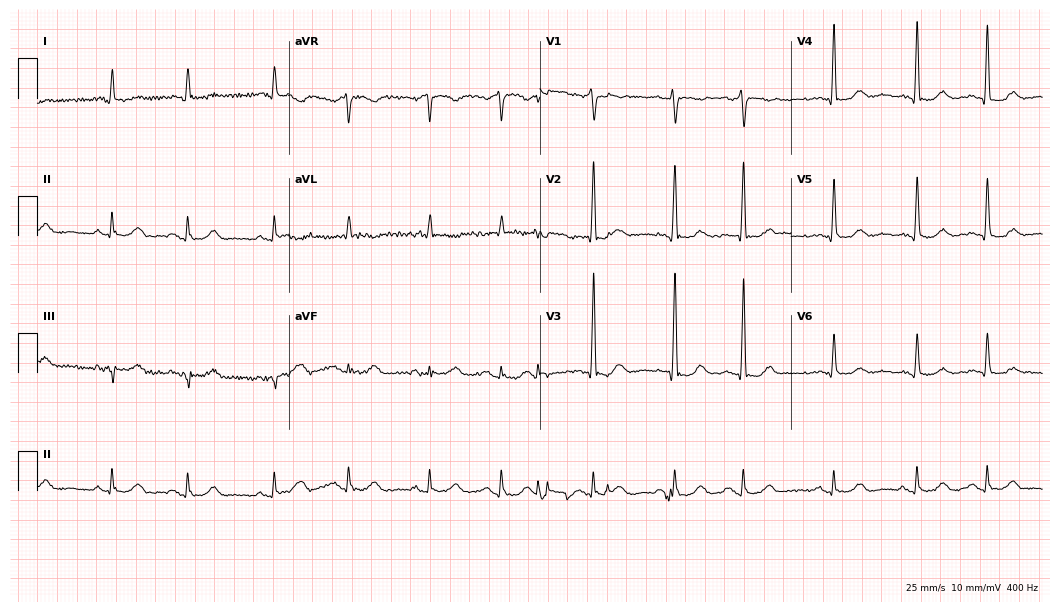
12-lead ECG (10.2-second recording at 400 Hz) from an 85-year-old female. Screened for six findings — first-degree AV block, right bundle branch block, left bundle branch block, sinus bradycardia, atrial fibrillation, sinus tachycardia — none is recorded. Other findings, if any, are not listed.